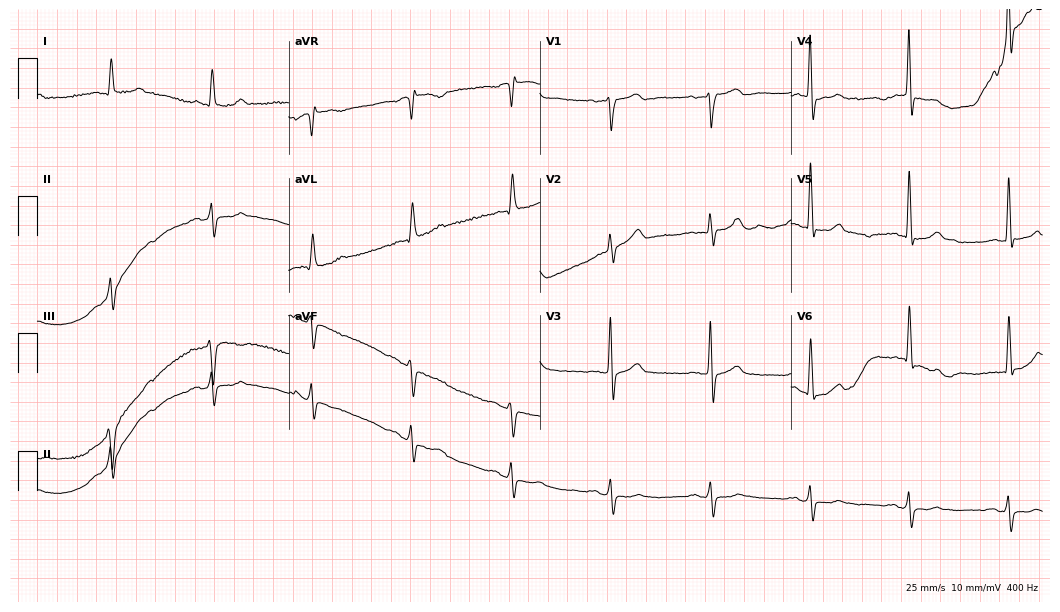
12-lead ECG from an 80-year-old male. No first-degree AV block, right bundle branch block (RBBB), left bundle branch block (LBBB), sinus bradycardia, atrial fibrillation (AF) or sinus tachycardia recorded for this tracing. Other findings, if any, are not listed.